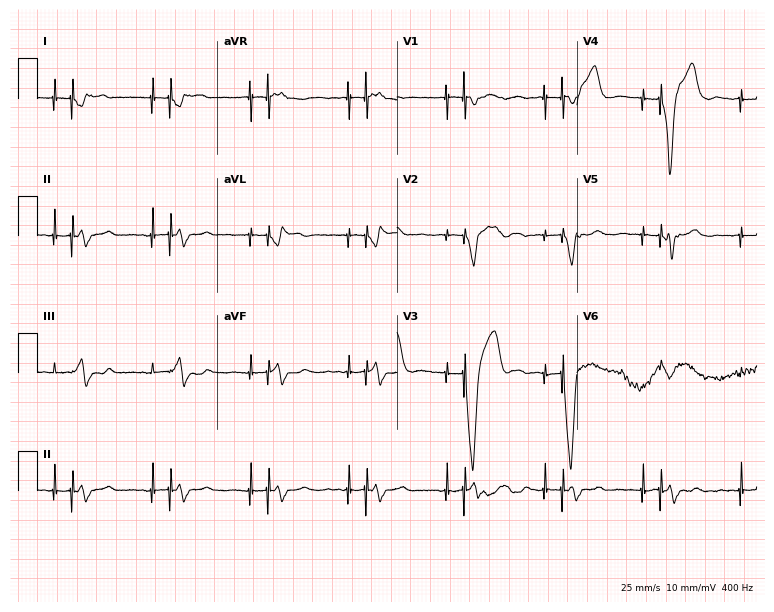
Electrocardiogram, a man, 58 years old. Of the six screened findings (first-degree AV block, right bundle branch block (RBBB), left bundle branch block (LBBB), sinus bradycardia, atrial fibrillation (AF), sinus tachycardia), none is recorded.